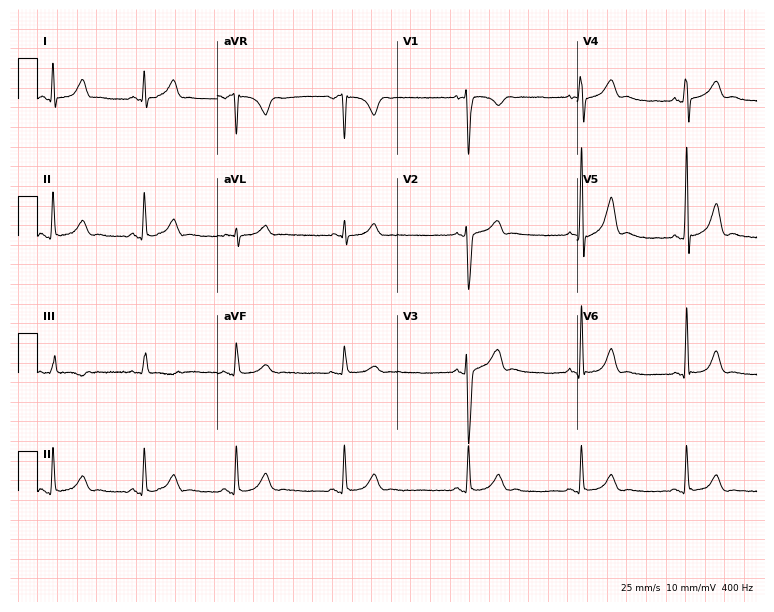
Standard 12-lead ECG recorded from a 38-year-old male (7.3-second recording at 400 Hz). Read as a normal ECG.